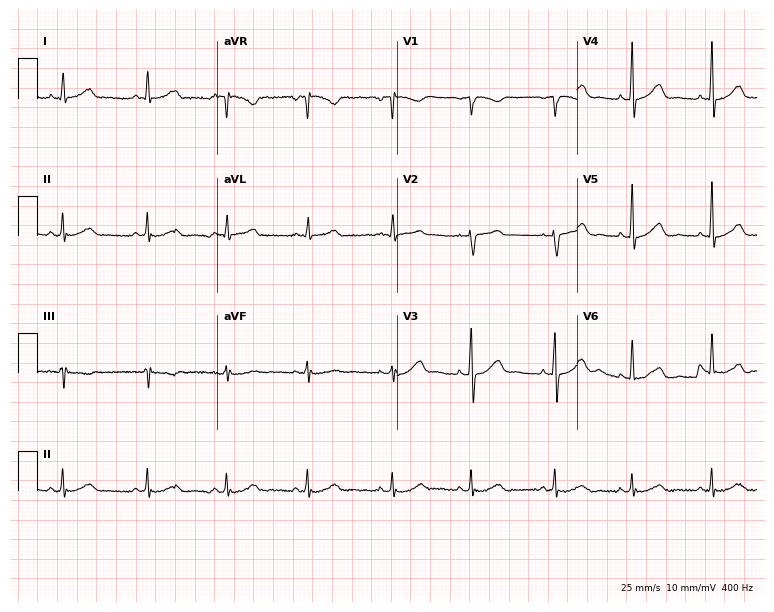
ECG — a 28-year-old woman. Labelled as a normal ECG.